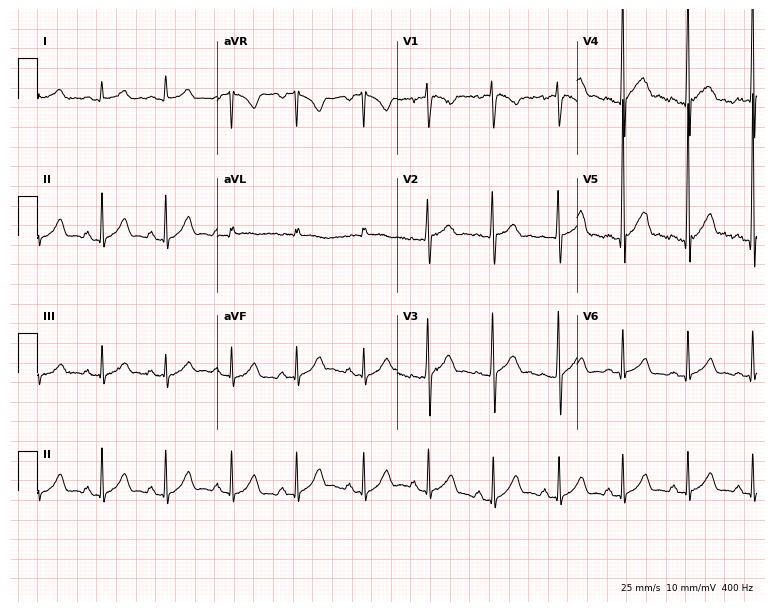
Standard 12-lead ECG recorded from a 30-year-old man. Read as a normal ECG.